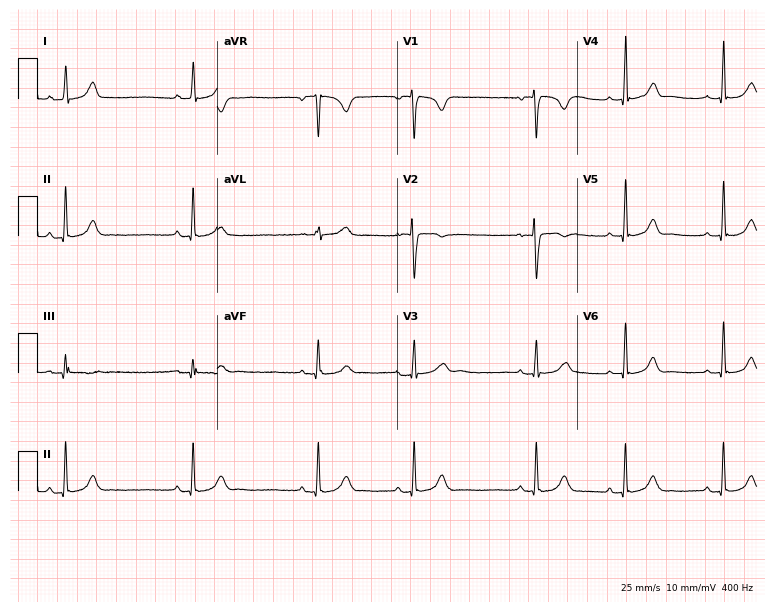
Electrocardiogram (7.3-second recording at 400 Hz), a 28-year-old female. Of the six screened findings (first-degree AV block, right bundle branch block (RBBB), left bundle branch block (LBBB), sinus bradycardia, atrial fibrillation (AF), sinus tachycardia), none is recorded. Findings outside these six are not listed.